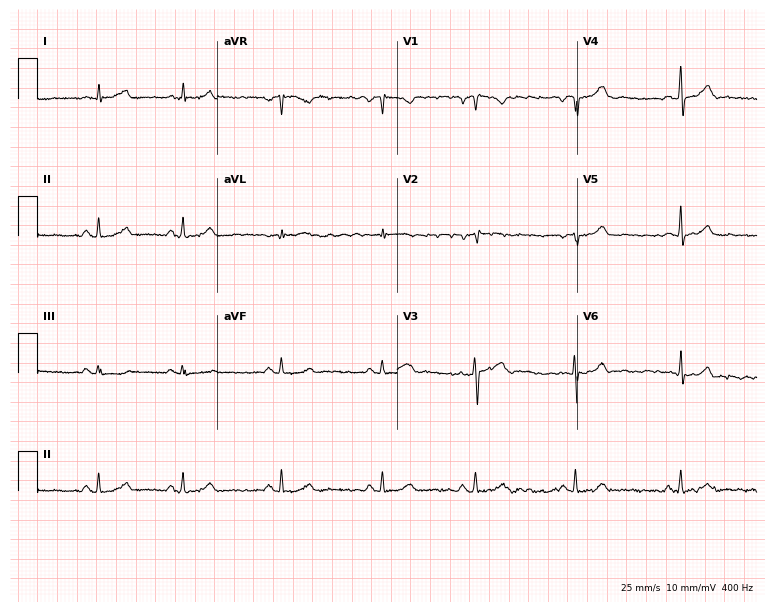
12-lead ECG from a woman, 34 years old. Screened for six findings — first-degree AV block, right bundle branch block, left bundle branch block, sinus bradycardia, atrial fibrillation, sinus tachycardia — none is recorded. Only these six findings were labelled.